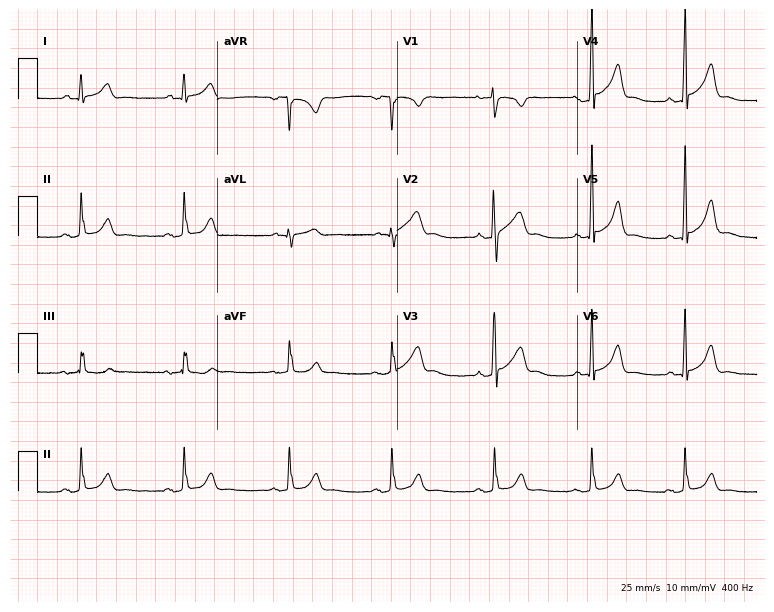
12-lead ECG from a male, 27 years old (7.3-second recording at 400 Hz). Recorded interpretation: within normal limits.